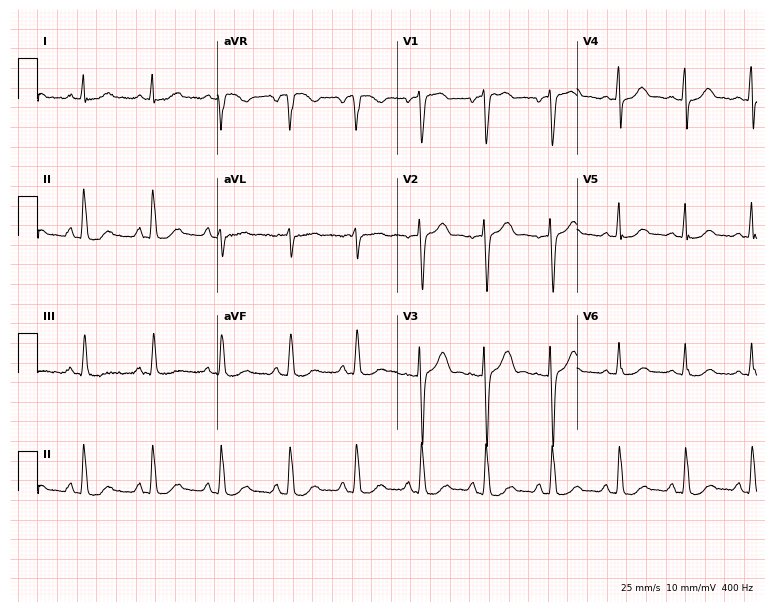
ECG — a female, 48 years old. Screened for six findings — first-degree AV block, right bundle branch block, left bundle branch block, sinus bradycardia, atrial fibrillation, sinus tachycardia — none is recorded. Findings outside these six are not listed.